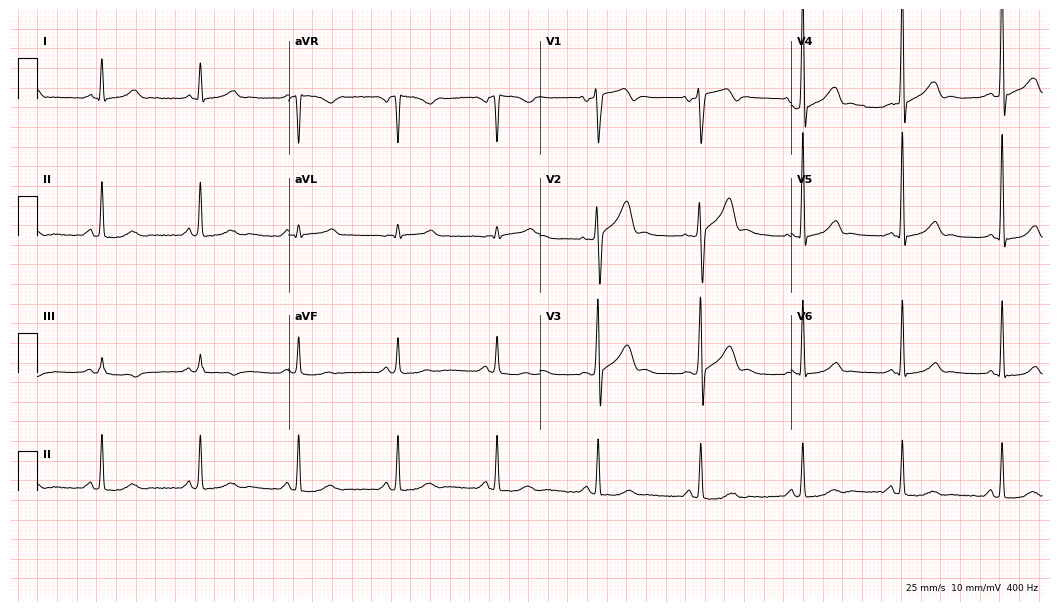
ECG (10.2-second recording at 400 Hz) — a male, 62 years old. Screened for six findings — first-degree AV block, right bundle branch block, left bundle branch block, sinus bradycardia, atrial fibrillation, sinus tachycardia — none is recorded.